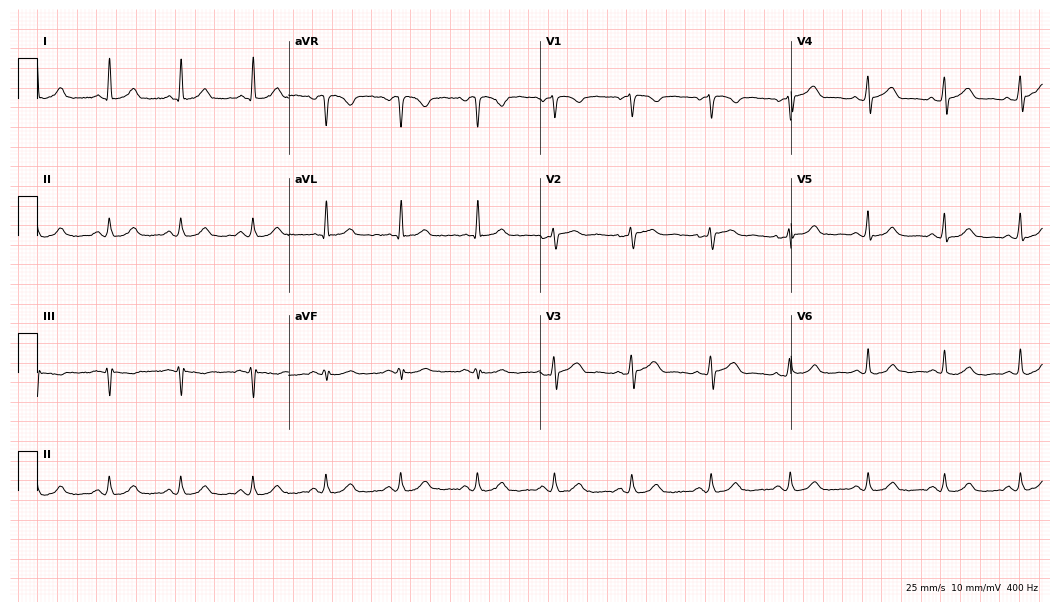
ECG — a woman, 63 years old. Labelled as a normal ECG.